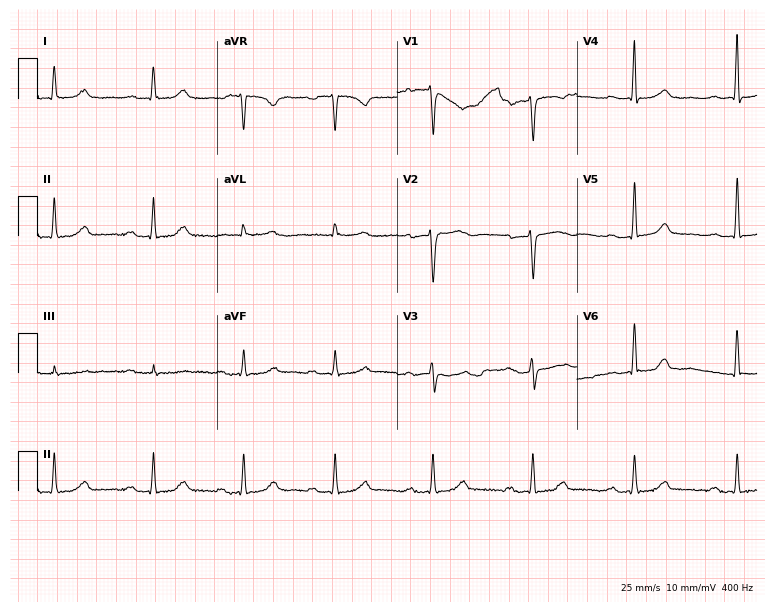
Electrocardiogram, a woman, 45 years old. Interpretation includes first-degree AV block.